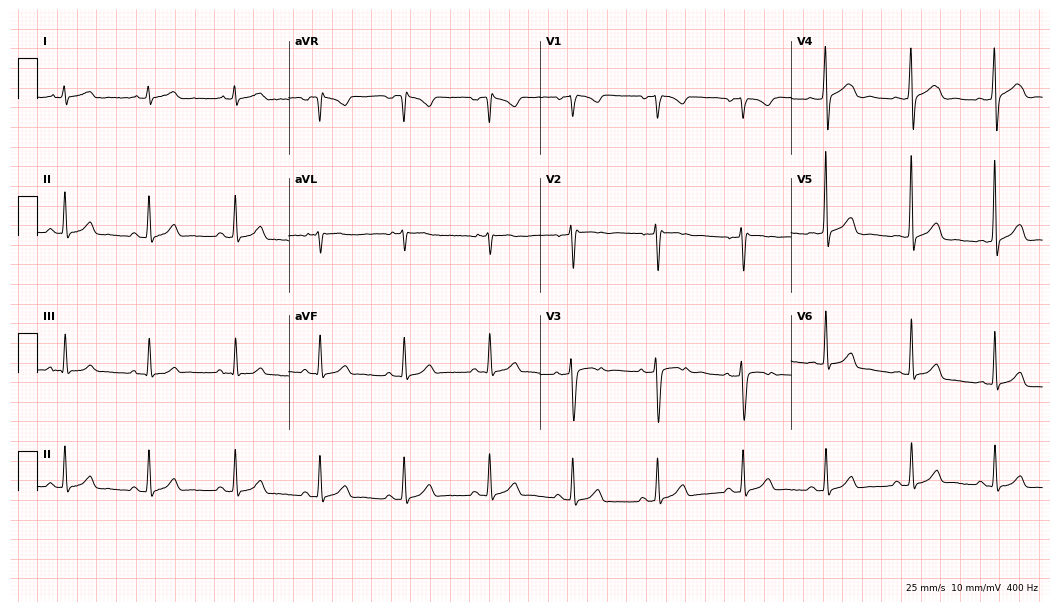
12-lead ECG from a 47-year-old woman. Recorded interpretation: within normal limits.